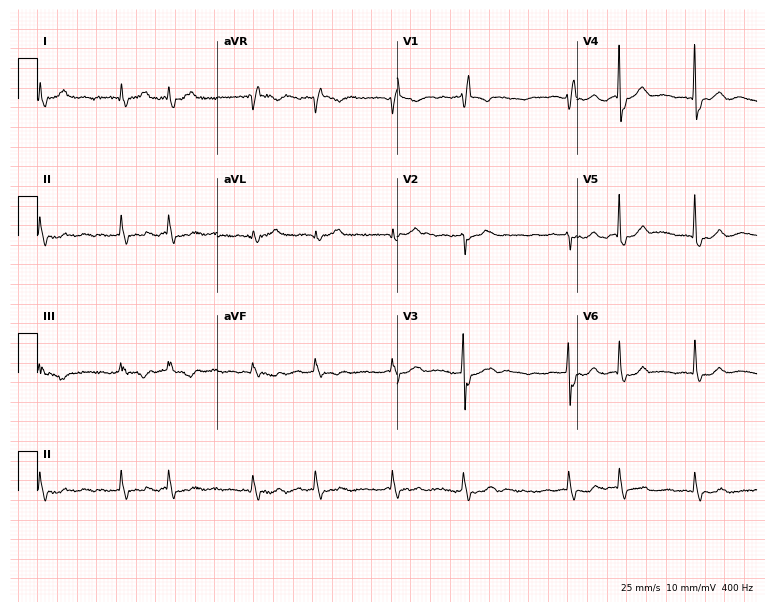
12-lead ECG from an 85-year-old female. Shows atrial fibrillation.